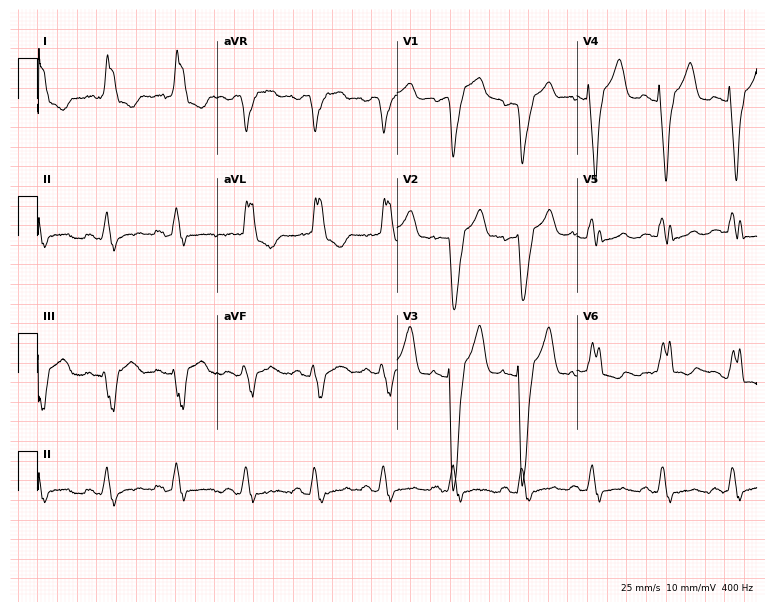
Electrocardiogram, a 47-year-old female. Of the six screened findings (first-degree AV block, right bundle branch block, left bundle branch block, sinus bradycardia, atrial fibrillation, sinus tachycardia), none is recorded.